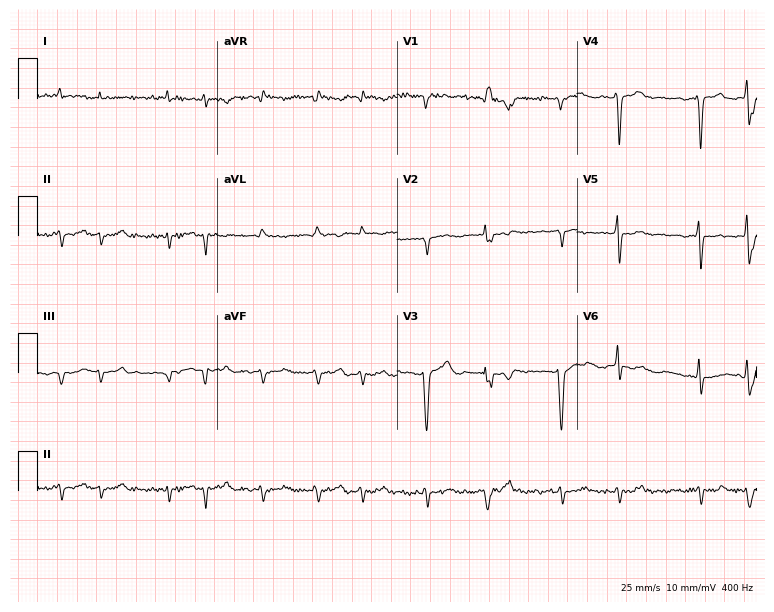
Standard 12-lead ECG recorded from an 82-year-old man. The tracing shows atrial fibrillation.